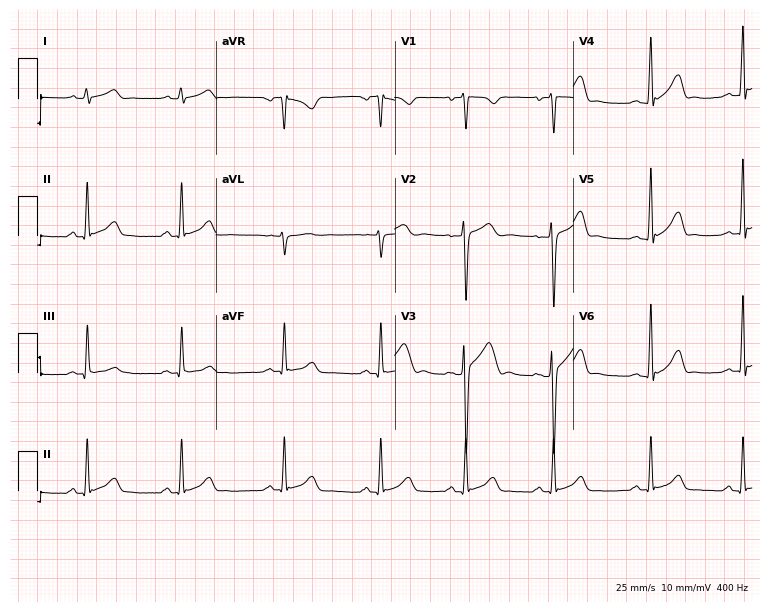
Resting 12-lead electrocardiogram. Patient: a 17-year-old male. Read as a normal ECG.